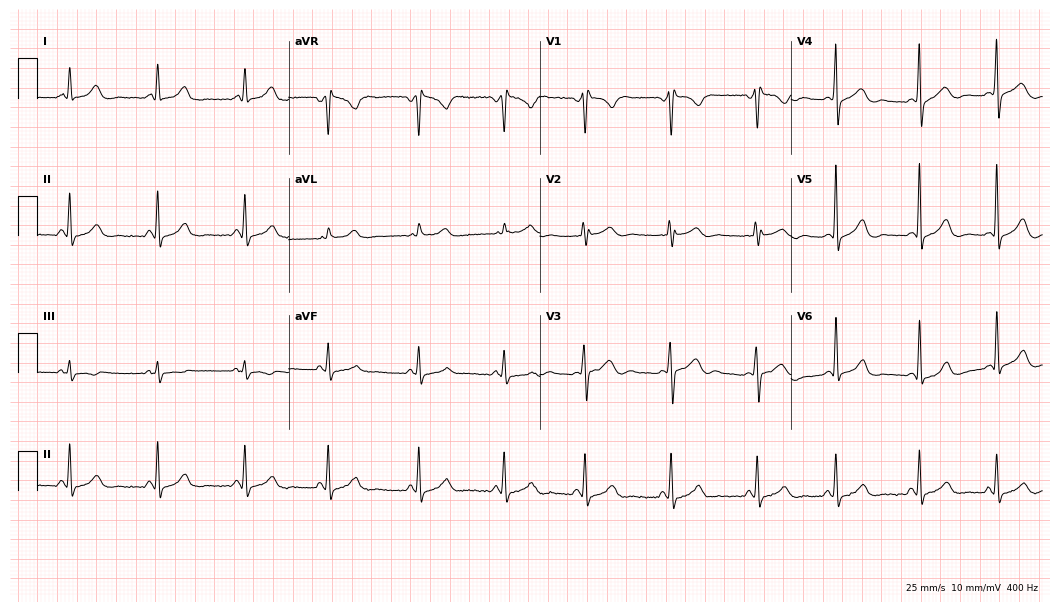
12-lead ECG from a 47-year-old female (10.2-second recording at 400 Hz). No first-degree AV block, right bundle branch block, left bundle branch block, sinus bradycardia, atrial fibrillation or sinus tachycardia recorded for this tracing. Only these six findings were labelled.